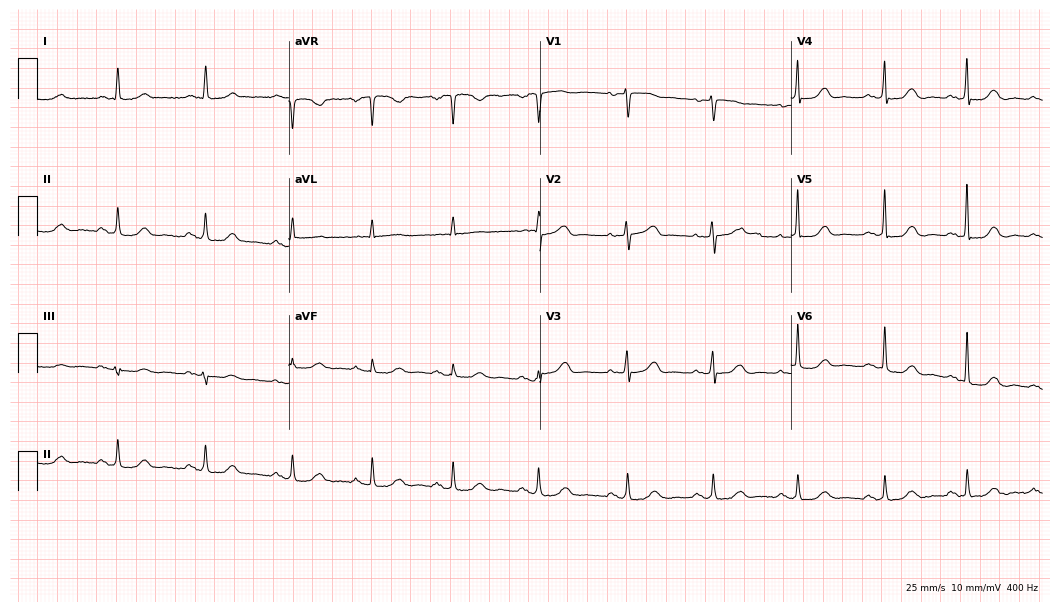
12-lead ECG from a female, 73 years old (10.2-second recording at 400 Hz). No first-degree AV block, right bundle branch block (RBBB), left bundle branch block (LBBB), sinus bradycardia, atrial fibrillation (AF) or sinus tachycardia recorded for this tracing.